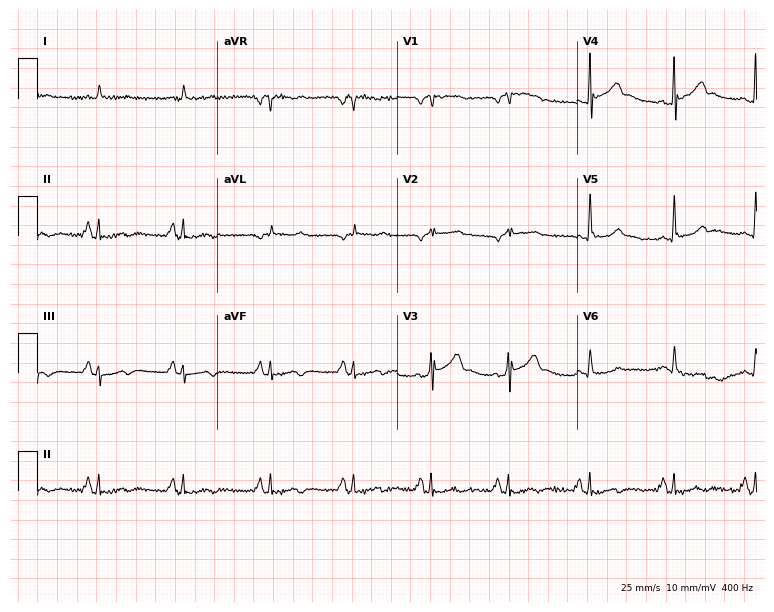
ECG — a 54-year-old male. Screened for six findings — first-degree AV block, right bundle branch block (RBBB), left bundle branch block (LBBB), sinus bradycardia, atrial fibrillation (AF), sinus tachycardia — none is recorded. Only these six findings were labelled.